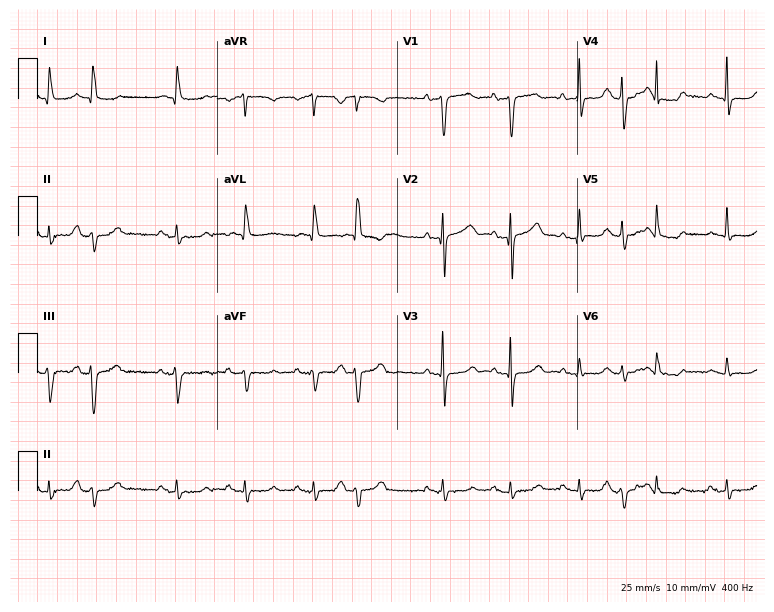
Resting 12-lead electrocardiogram (7.3-second recording at 400 Hz). Patient: an 83-year-old male. None of these six findings is recorded: first-degree AV block, right bundle branch block, left bundle branch block, sinus bradycardia, atrial fibrillation, sinus tachycardia.